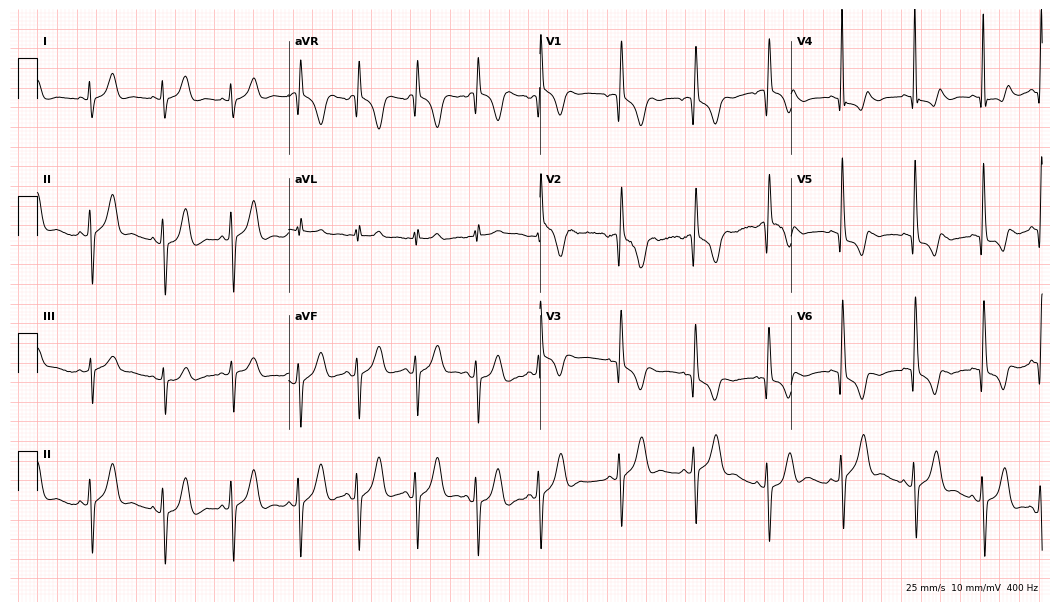
Standard 12-lead ECG recorded from a male patient, 26 years old. None of these six findings is recorded: first-degree AV block, right bundle branch block, left bundle branch block, sinus bradycardia, atrial fibrillation, sinus tachycardia. Other findings, if any, are not listed.